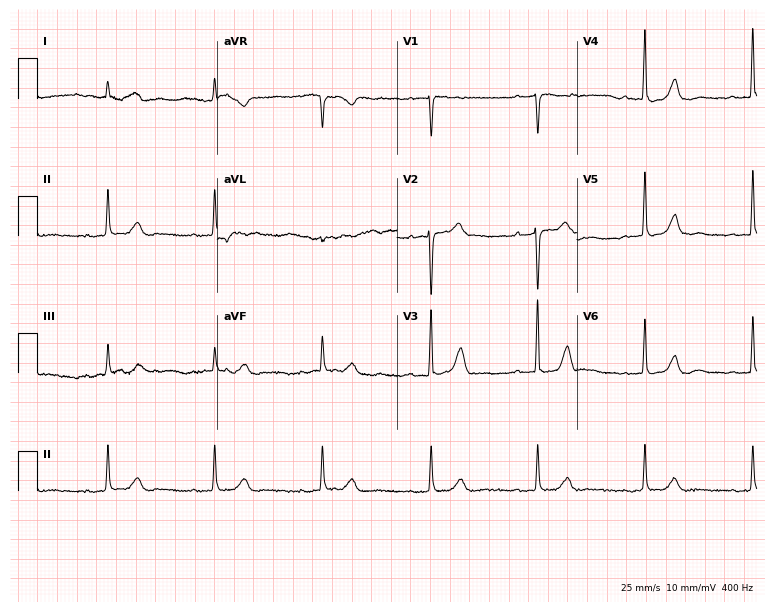
Electrocardiogram, a 67-year-old woman. Overall reading on record: normal ECG.